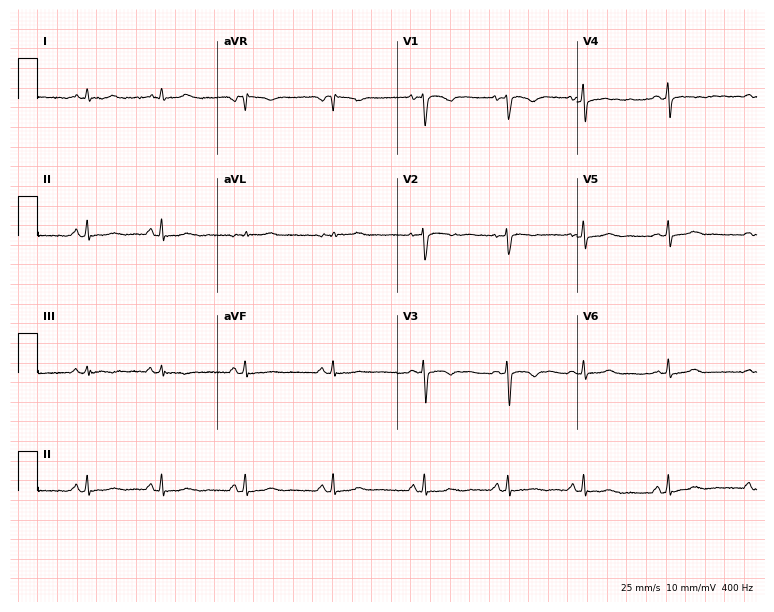
ECG — a 21-year-old female patient. Screened for six findings — first-degree AV block, right bundle branch block (RBBB), left bundle branch block (LBBB), sinus bradycardia, atrial fibrillation (AF), sinus tachycardia — none is recorded. Findings outside these six are not listed.